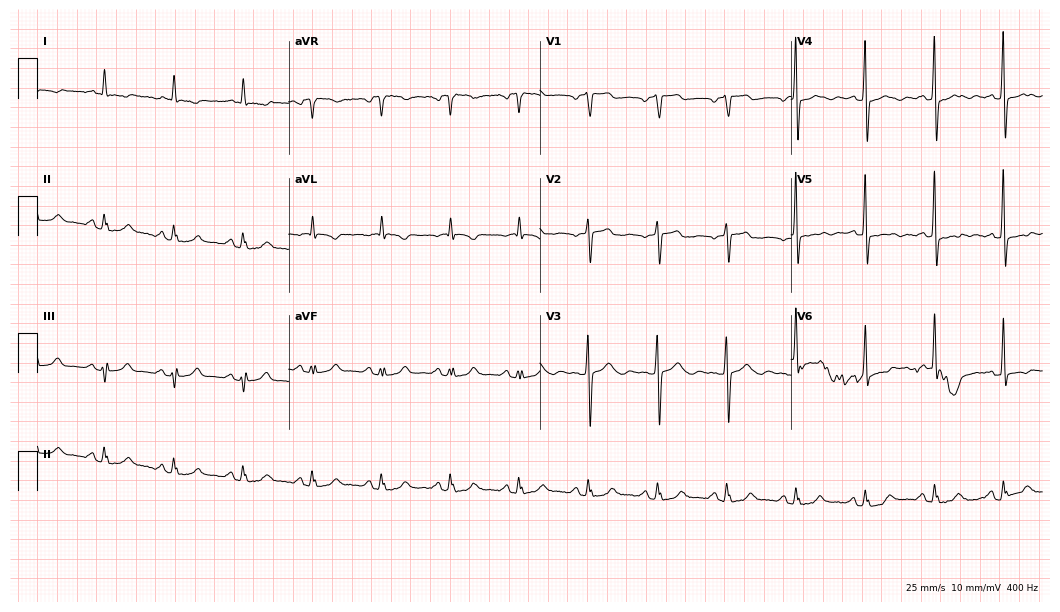
12-lead ECG from a man, 65 years old. Screened for six findings — first-degree AV block, right bundle branch block, left bundle branch block, sinus bradycardia, atrial fibrillation, sinus tachycardia — none is recorded. Only these six findings were labelled.